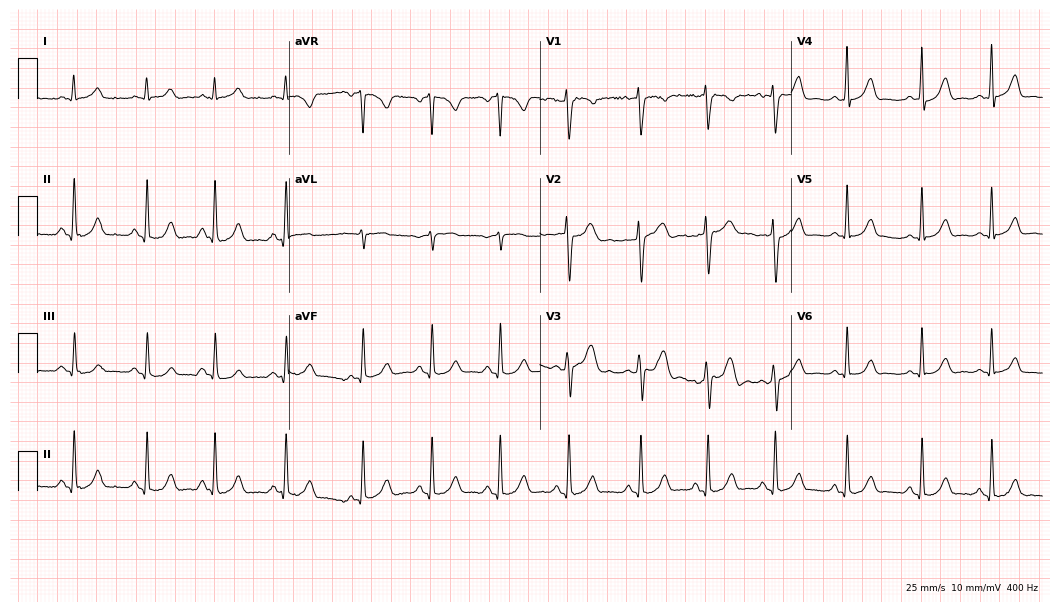
12-lead ECG (10.2-second recording at 400 Hz) from a female, 28 years old. Labelled as a normal ECG.